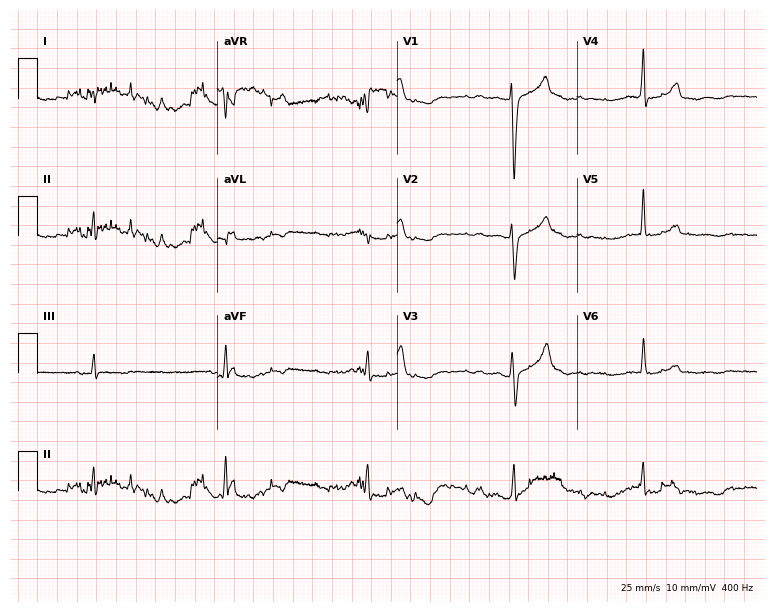
Standard 12-lead ECG recorded from a male patient, 62 years old (7.3-second recording at 400 Hz). The tracing shows sinus bradycardia (a sinus rate of 50 beats per minute or less).